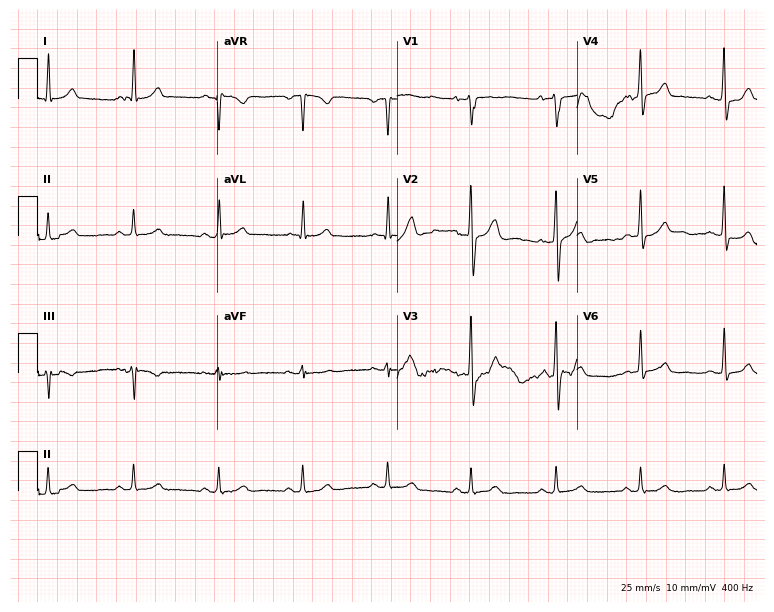
12-lead ECG from a 56-year-old man (7.3-second recording at 400 Hz). Recorded interpretation: within normal limits.